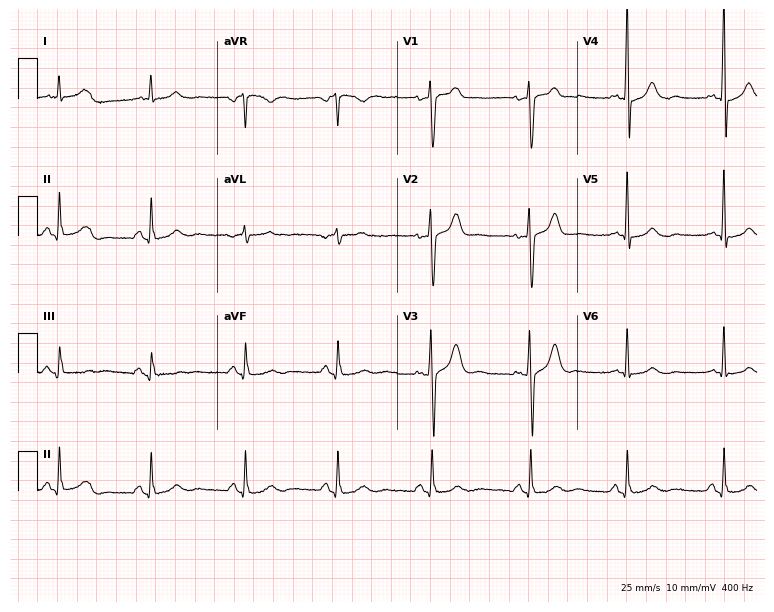
Electrocardiogram, a 54-year-old man. Overall reading on record: normal ECG.